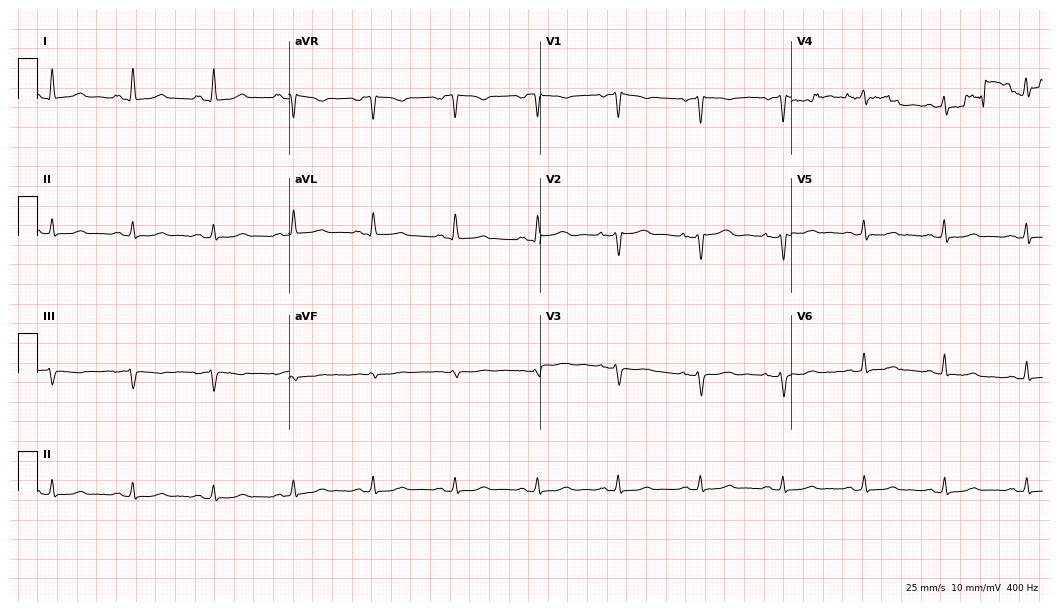
12-lead ECG from a 48-year-old female patient (10.2-second recording at 400 Hz). No first-degree AV block, right bundle branch block, left bundle branch block, sinus bradycardia, atrial fibrillation or sinus tachycardia recorded for this tracing.